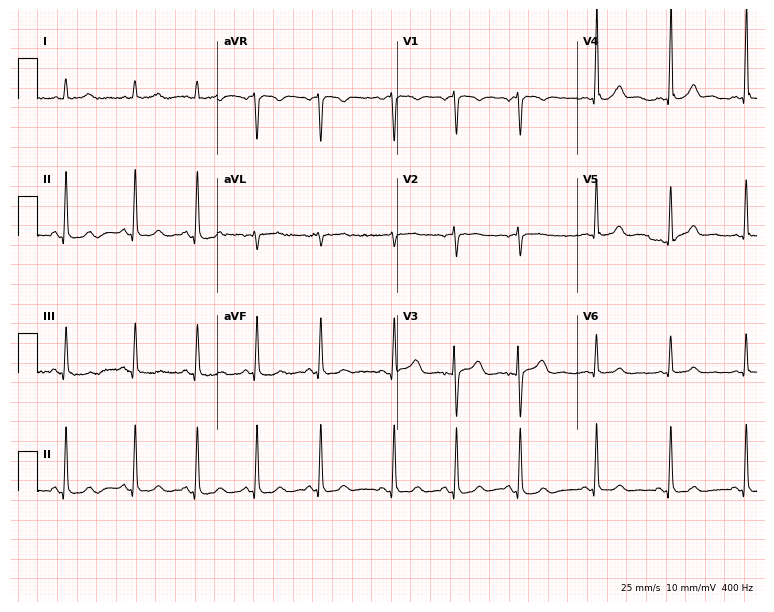
Resting 12-lead electrocardiogram. Patient: a female, 23 years old. Read as a normal ECG.